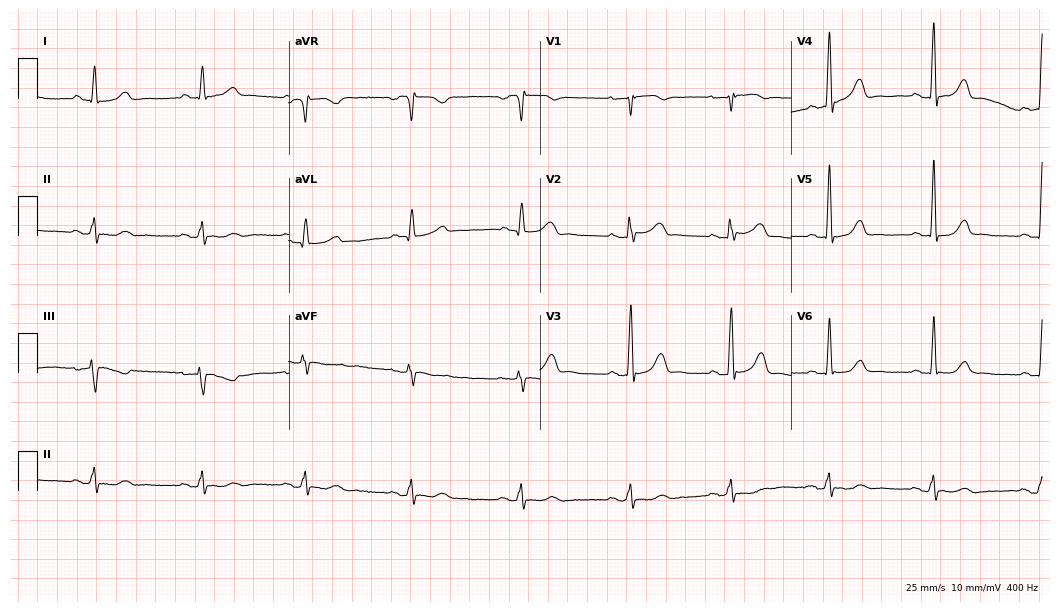
Resting 12-lead electrocardiogram (10.2-second recording at 400 Hz). Patient: a 57-year-old female. Read as a normal ECG.